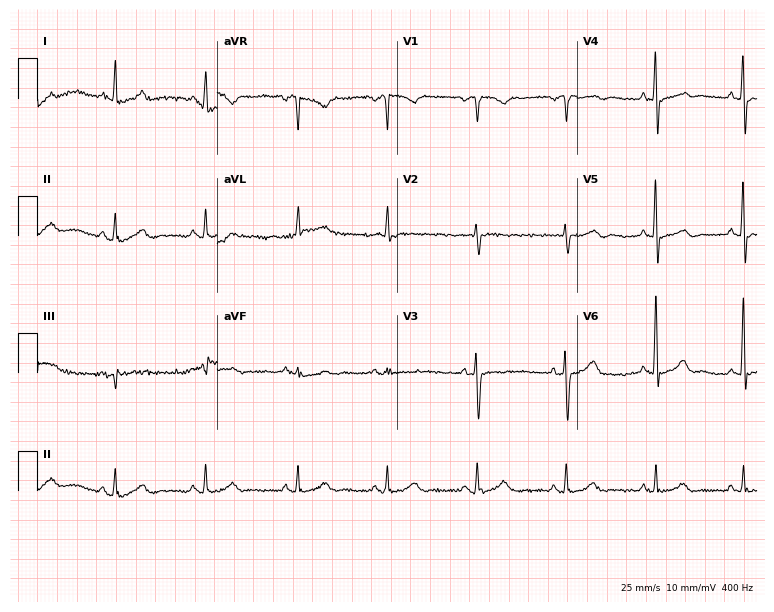
12-lead ECG from a 64-year-old male patient. No first-degree AV block, right bundle branch block, left bundle branch block, sinus bradycardia, atrial fibrillation or sinus tachycardia recorded for this tracing.